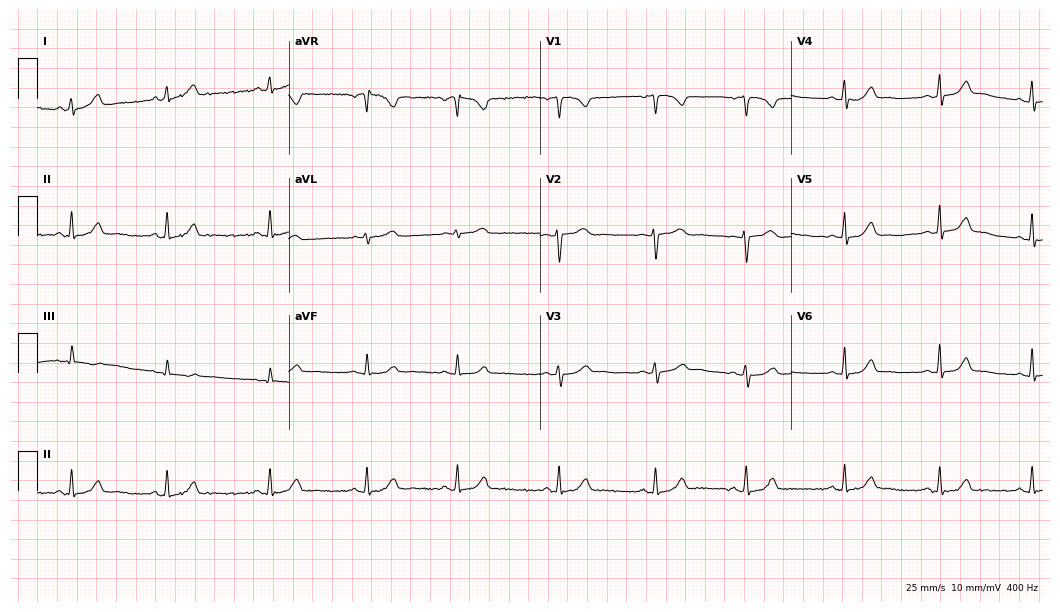
12-lead ECG from a 23-year-old female patient (10.2-second recording at 400 Hz). Recorded interpretation: within normal limits.